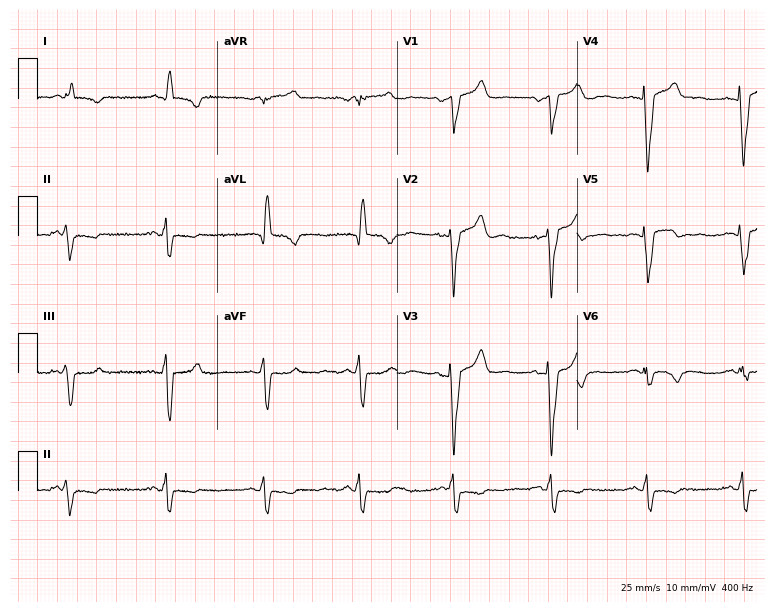
Resting 12-lead electrocardiogram. Patient: a 62-year-old male. The tracing shows left bundle branch block.